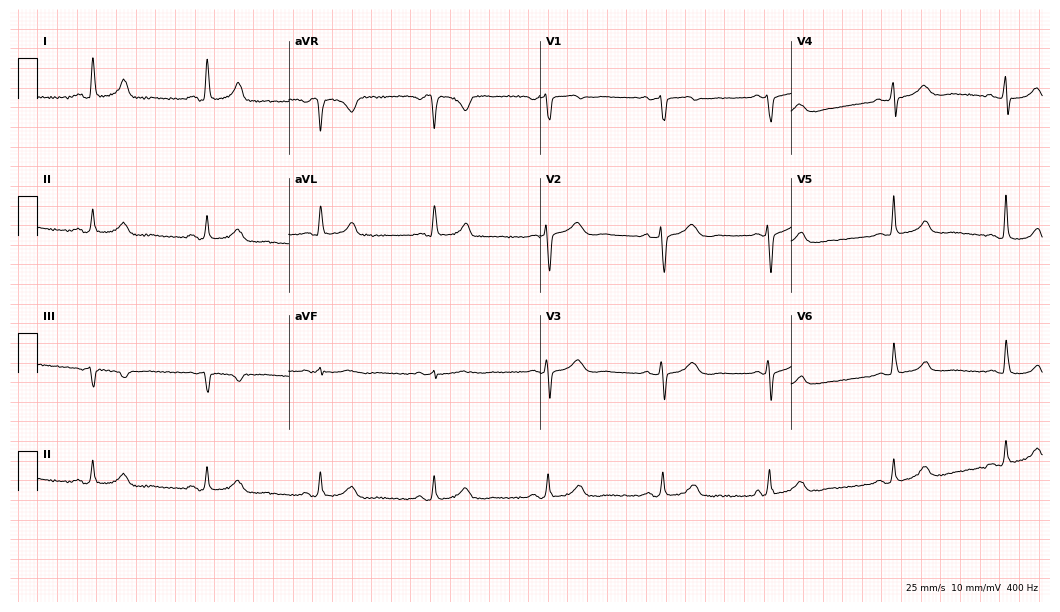
Electrocardiogram (10.2-second recording at 400 Hz), a 73-year-old woman. Of the six screened findings (first-degree AV block, right bundle branch block, left bundle branch block, sinus bradycardia, atrial fibrillation, sinus tachycardia), none is recorded. Only these six findings were labelled.